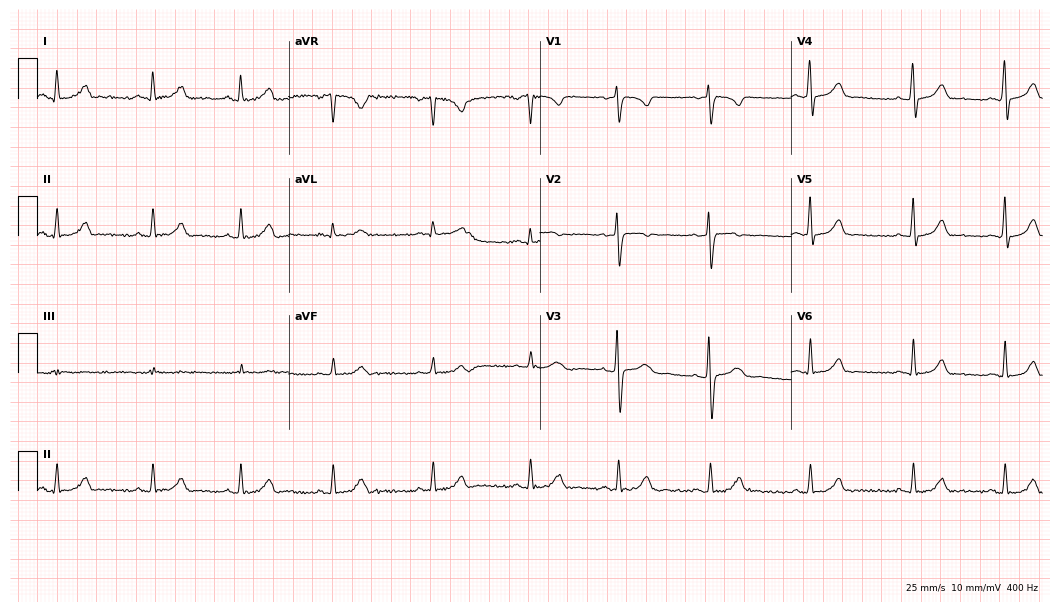
Electrocardiogram (10.2-second recording at 400 Hz), a woman, 33 years old. Overall reading on record: normal ECG.